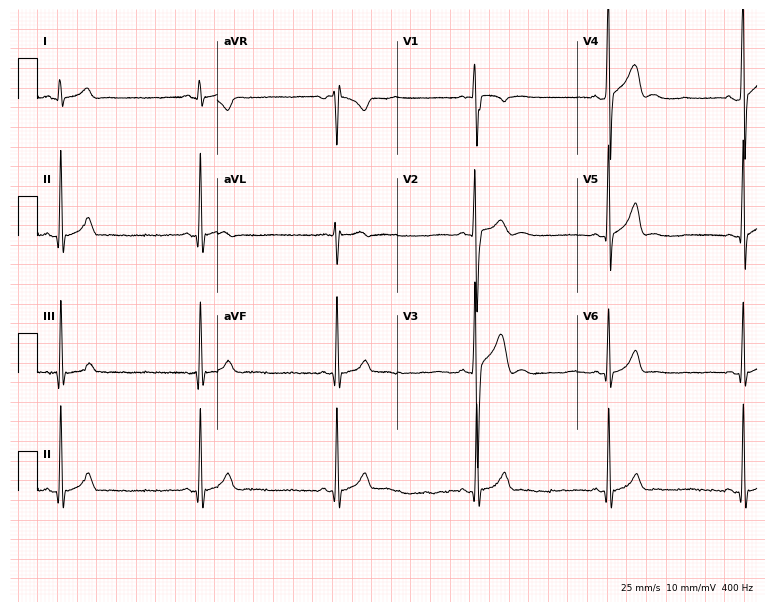
Standard 12-lead ECG recorded from a man, 17 years old (7.3-second recording at 400 Hz). The tracing shows sinus bradycardia (a sinus rate of 50 beats per minute or less).